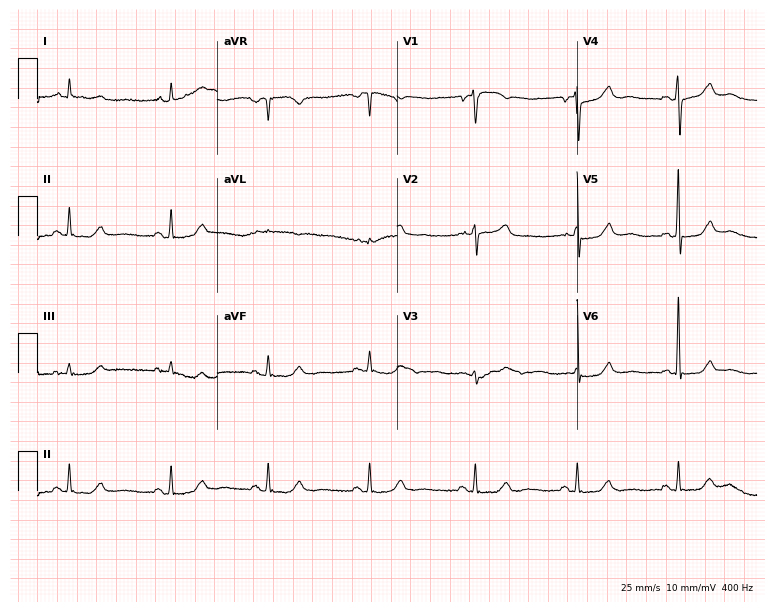
12-lead ECG from a 65-year-old female. Recorded interpretation: within normal limits.